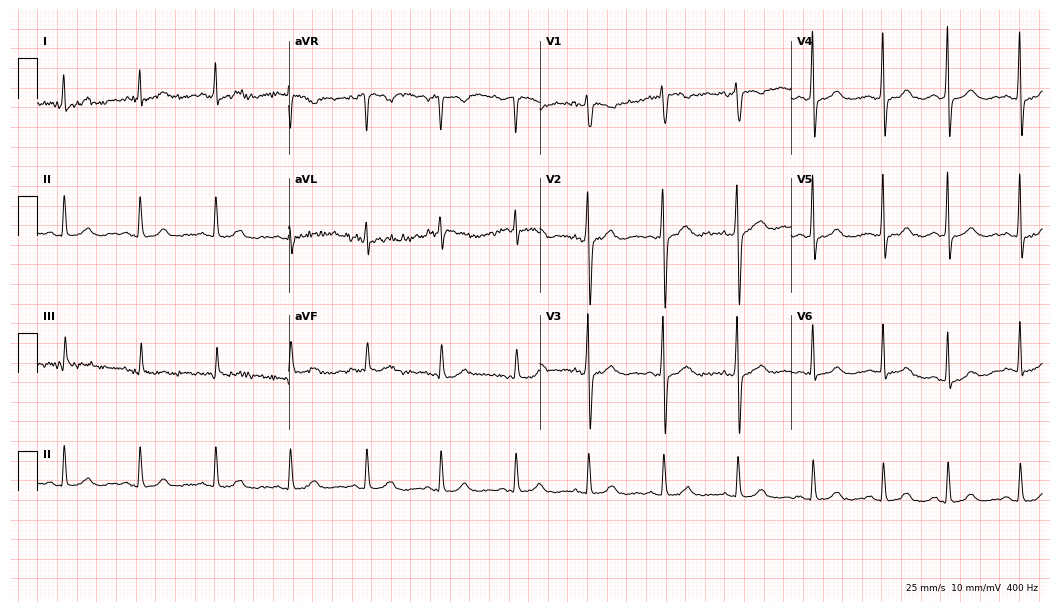
12-lead ECG from a 26-year-old female. Screened for six findings — first-degree AV block, right bundle branch block, left bundle branch block, sinus bradycardia, atrial fibrillation, sinus tachycardia — none is recorded. Other findings, if any, are not listed.